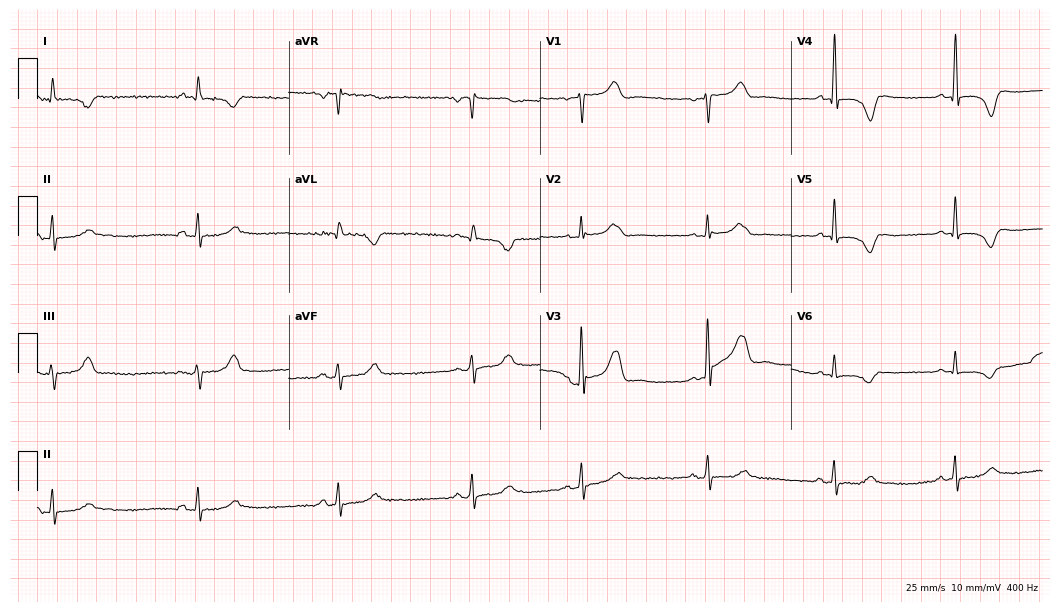
Standard 12-lead ECG recorded from a male patient, 60 years old. None of these six findings is recorded: first-degree AV block, right bundle branch block, left bundle branch block, sinus bradycardia, atrial fibrillation, sinus tachycardia. Only these six findings were labelled.